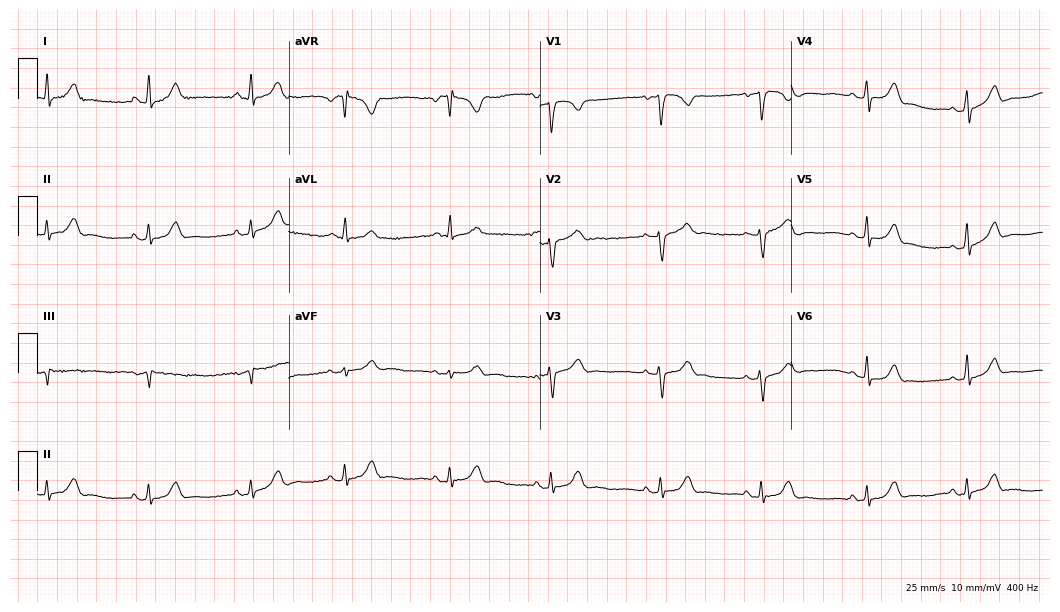
12-lead ECG from a 24-year-old woman. Recorded interpretation: within normal limits.